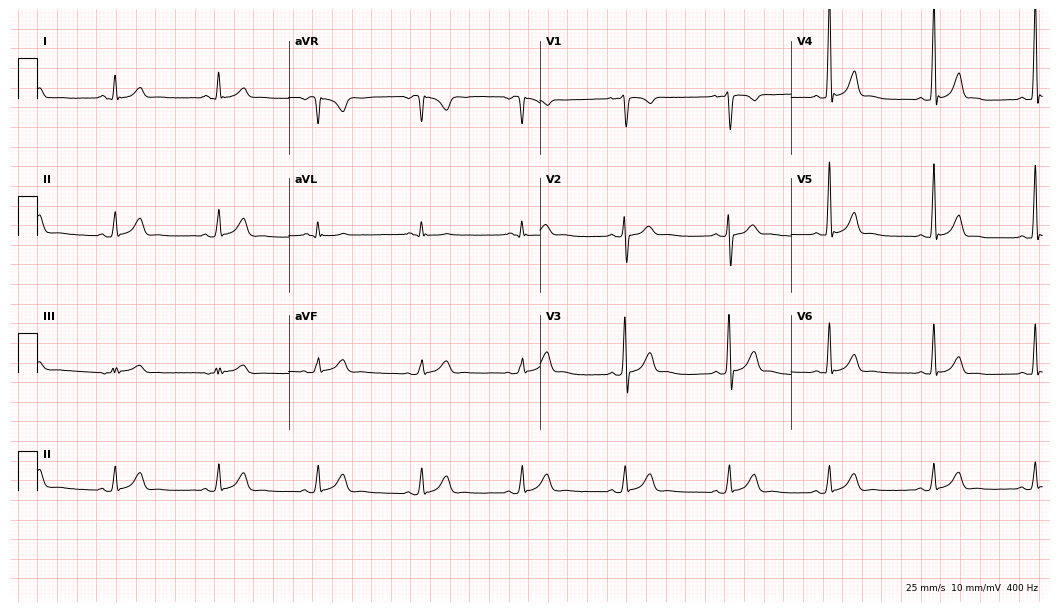
ECG (10.2-second recording at 400 Hz) — an 18-year-old male patient. Labelled as a normal ECG.